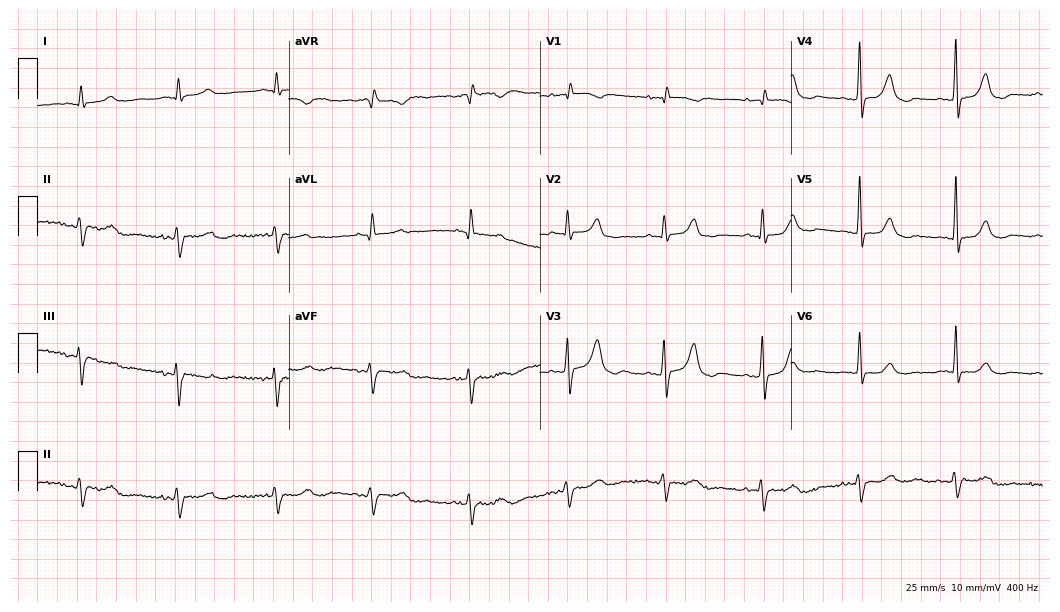
Electrocardiogram (10.2-second recording at 400 Hz), an 82-year-old female patient. Of the six screened findings (first-degree AV block, right bundle branch block, left bundle branch block, sinus bradycardia, atrial fibrillation, sinus tachycardia), none is recorded. Only these six findings were labelled.